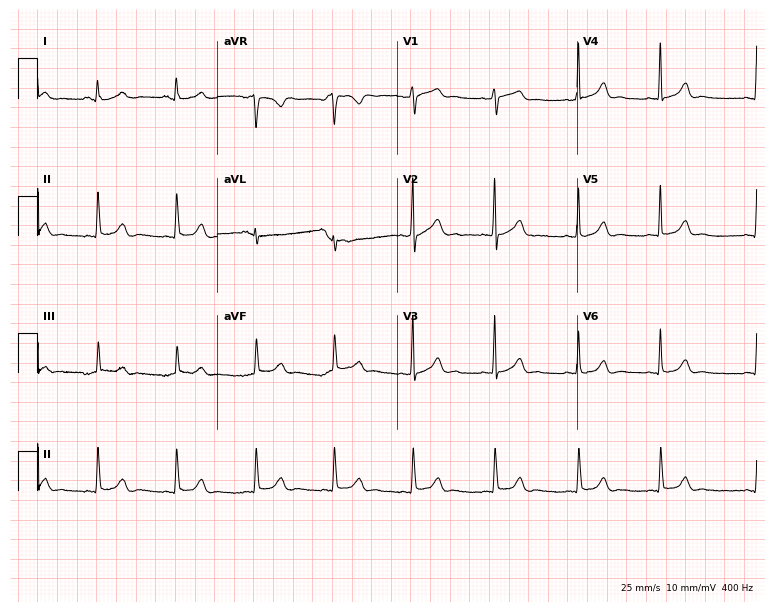
Standard 12-lead ECG recorded from an 18-year-old female patient (7.3-second recording at 400 Hz). Read as a normal ECG.